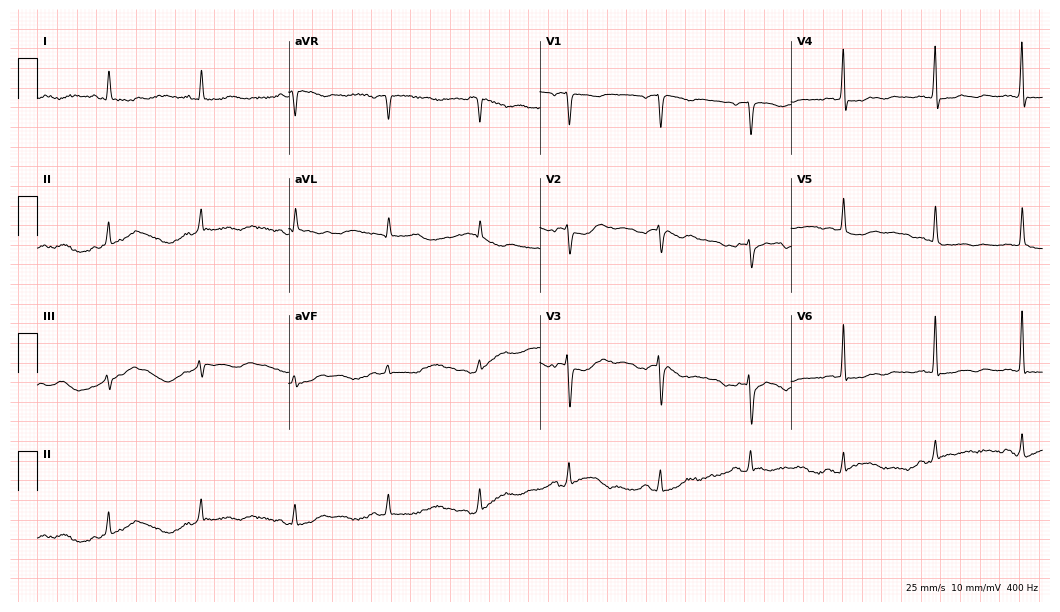
Standard 12-lead ECG recorded from a female, 80 years old. None of these six findings is recorded: first-degree AV block, right bundle branch block, left bundle branch block, sinus bradycardia, atrial fibrillation, sinus tachycardia. Other findings, if any, are not listed.